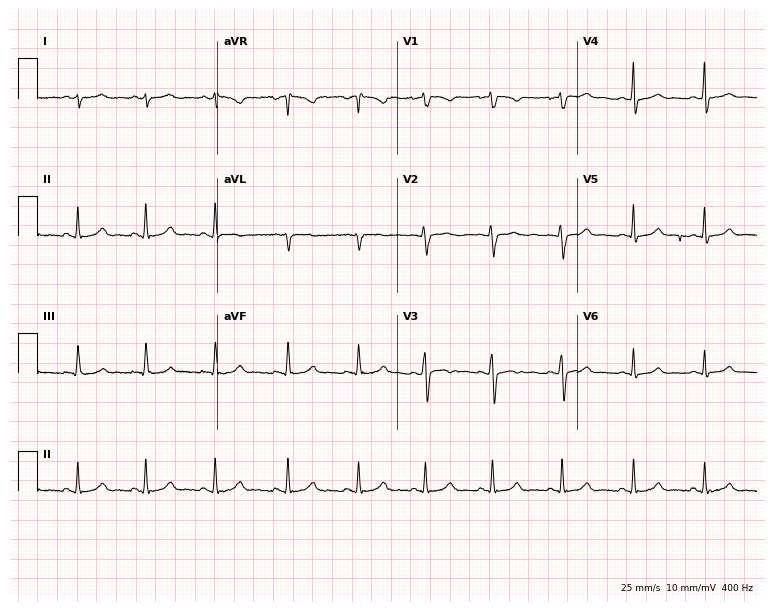
Resting 12-lead electrocardiogram (7.3-second recording at 400 Hz). Patient: a female, 18 years old. None of these six findings is recorded: first-degree AV block, right bundle branch block, left bundle branch block, sinus bradycardia, atrial fibrillation, sinus tachycardia. Other findings, if any, are not listed.